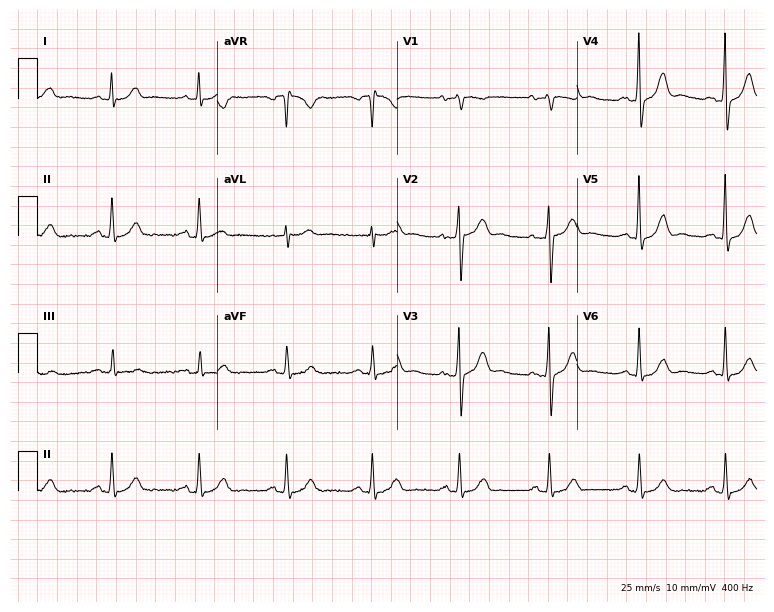
12-lead ECG from a male, 73 years old. Recorded interpretation: within normal limits.